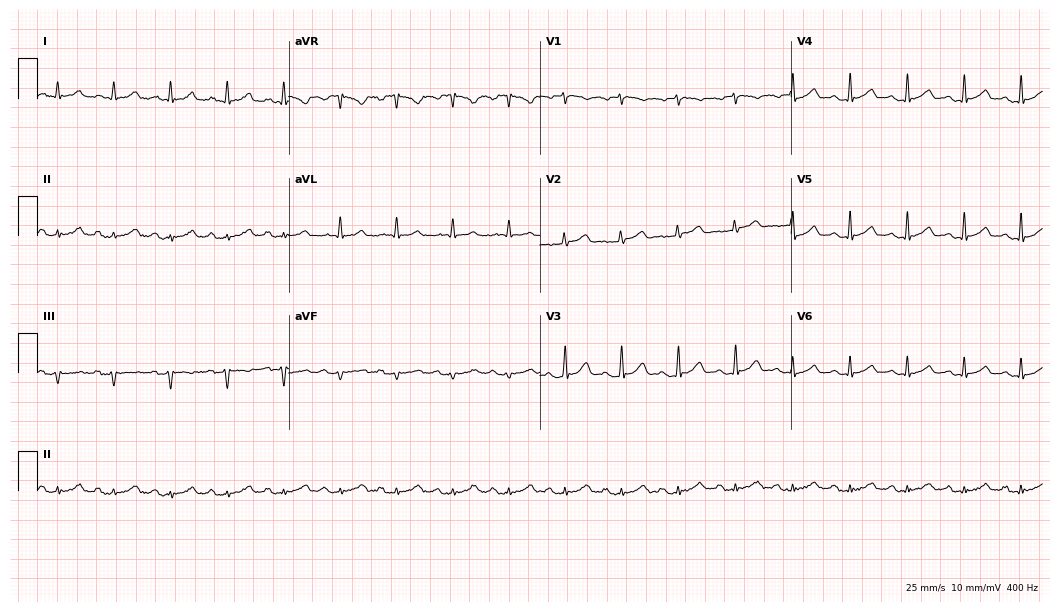
Electrocardiogram, a 45-year-old man. Interpretation includes sinus tachycardia (a sinus rate of 100 beats per minute or more).